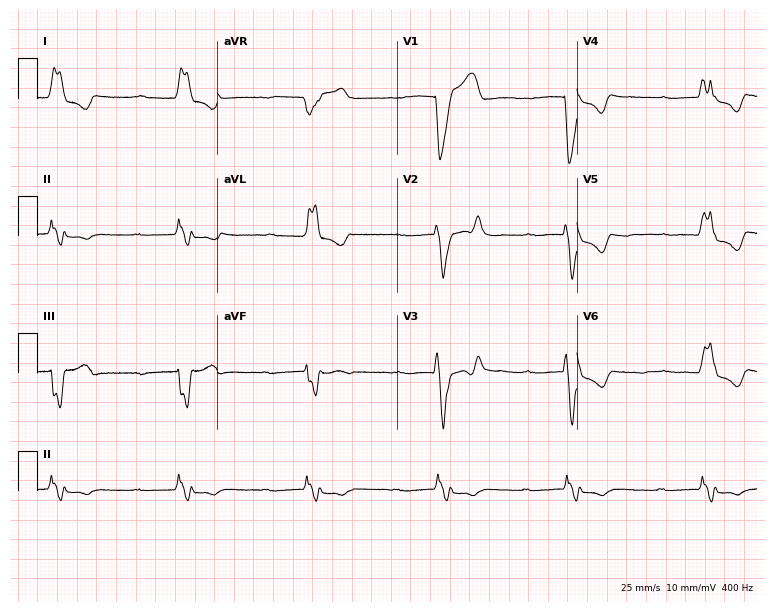
ECG (7.3-second recording at 400 Hz) — a male patient, 84 years old. Screened for six findings — first-degree AV block, right bundle branch block, left bundle branch block, sinus bradycardia, atrial fibrillation, sinus tachycardia — none is recorded.